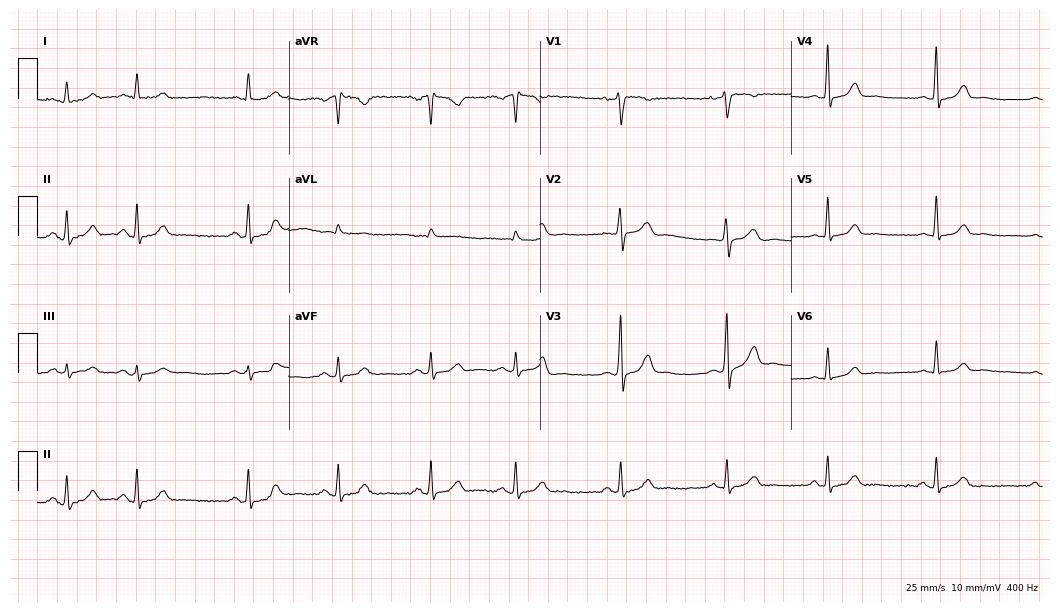
Resting 12-lead electrocardiogram (10.2-second recording at 400 Hz). Patient: a female, 41 years old. Read as a normal ECG.